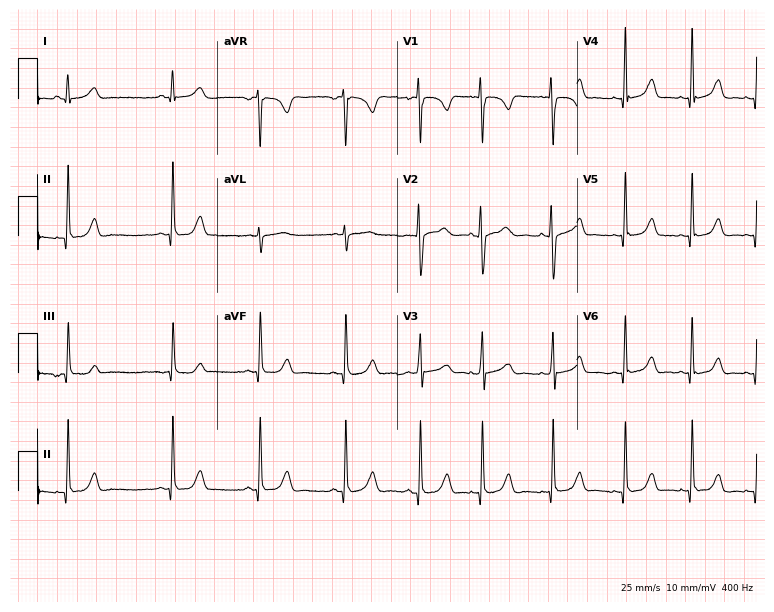
Resting 12-lead electrocardiogram (7.3-second recording at 400 Hz). Patient: a 22-year-old woman. Read as a normal ECG.